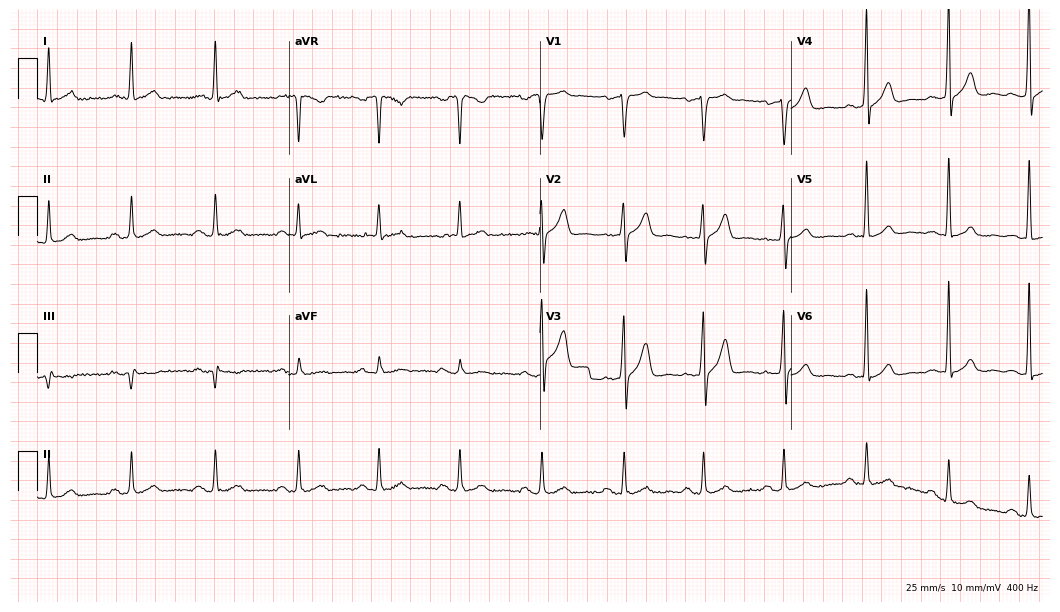
Resting 12-lead electrocardiogram. Patient: a man, 59 years old. None of these six findings is recorded: first-degree AV block, right bundle branch block (RBBB), left bundle branch block (LBBB), sinus bradycardia, atrial fibrillation (AF), sinus tachycardia. Other findings, if any, are not listed.